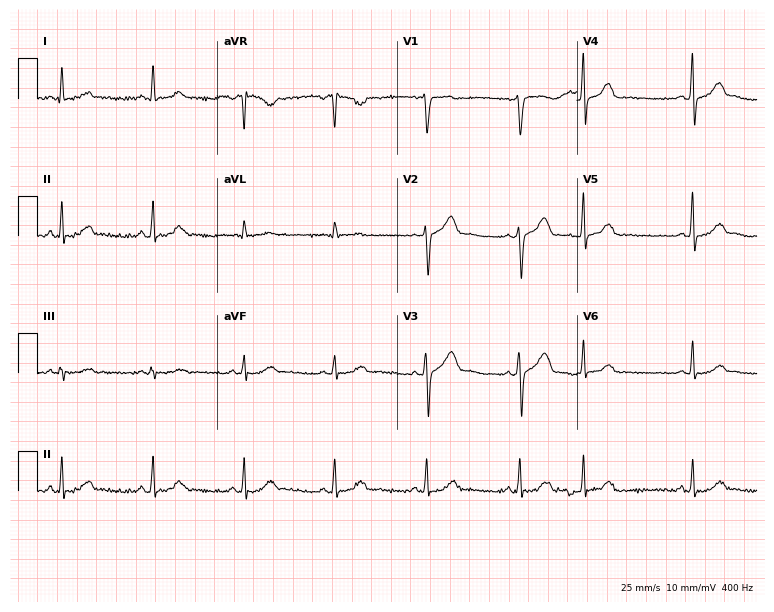
ECG (7.3-second recording at 400 Hz) — a 42-year-old male patient. Labelled as a normal ECG.